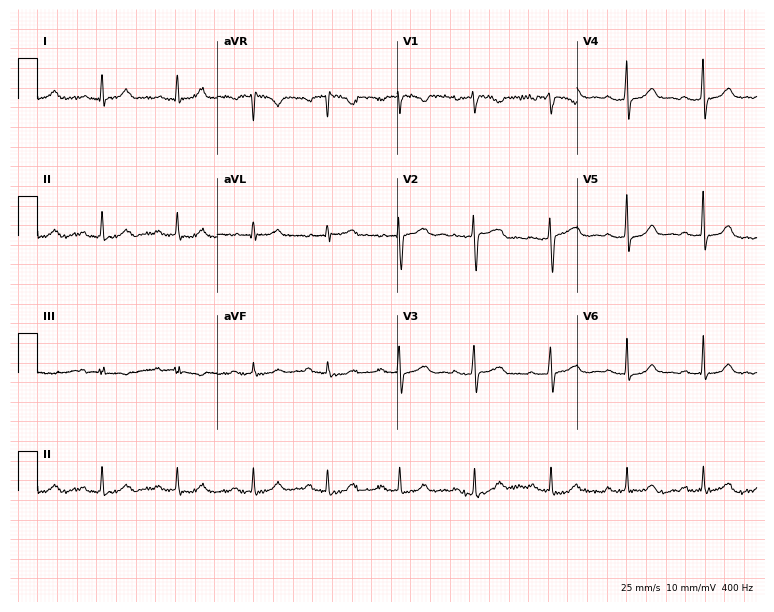
ECG (7.3-second recording at 400 Hz) — a 30-year-old woman. Screened for six findings — first-degree AV block, right bundle branch block, left bundle branch block, sinus bradycardia, atrial fibrillation, sinus tachycardia — none is recorded. Findings outside these six are not listed.